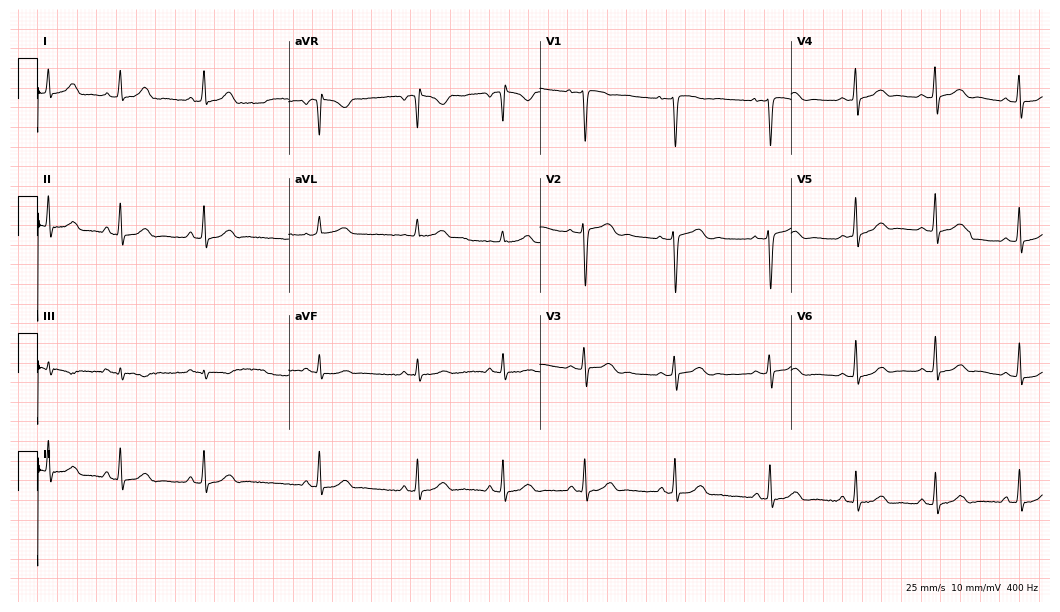
12-lead ECG from a female, 33 years old (10.2-second recording at 400 Hz). Recorded interpretation: within normal limits.